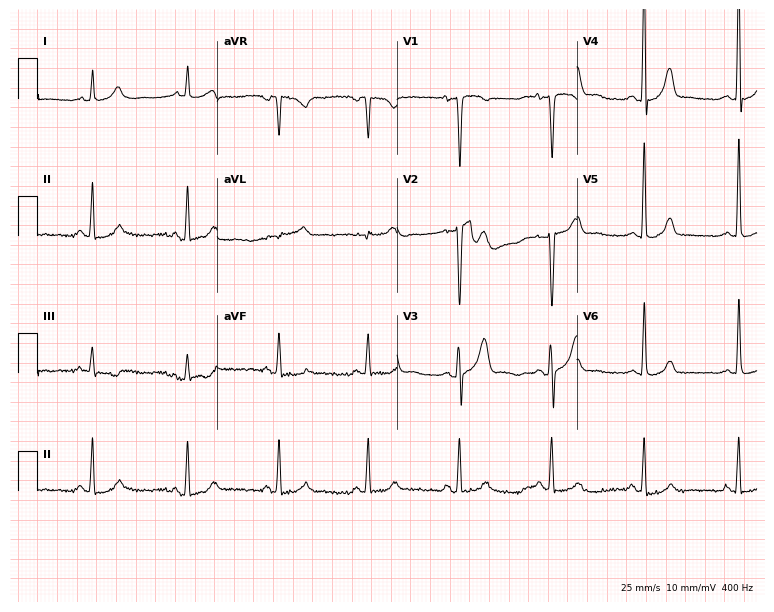
Electrocardiogram (7.3-second recording at 400 Hz), a 46-year-old male. Of the six screened findings (first-degree AV block, right bundle branch block, left bundle branch block, sinus bradycardia, atrial fibrillation, sinus tachycardia), none is recorded. Other findings, if any, are not listed.